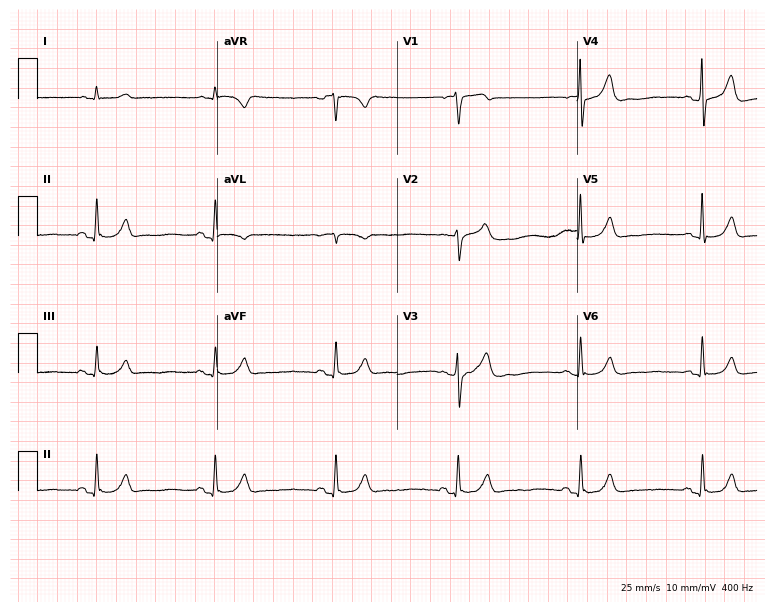
Resting 12-lead electrocardiogram. Patient: a 70-year-old male. The tracing shows sinus bradycardia (a sinus rate of 50 beats per minute or less).